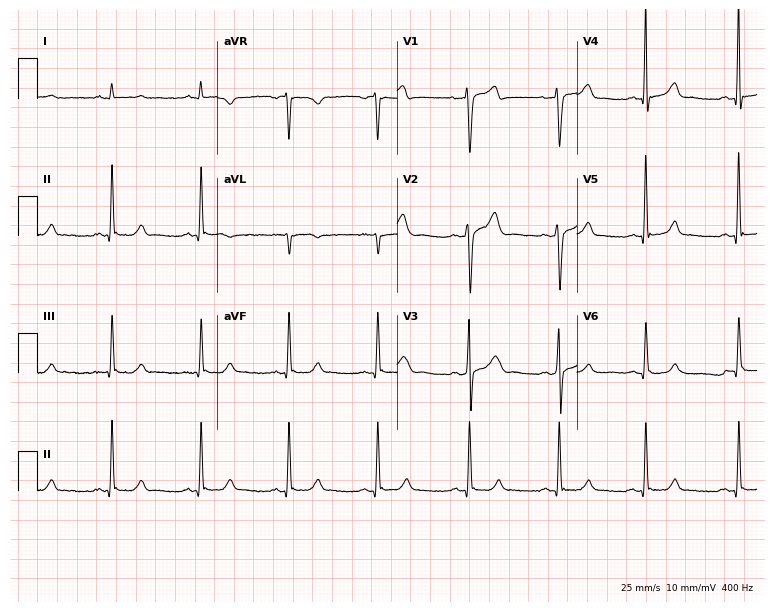
Electrocardiogram (7.3-second recording at 400 Hz), a female patient, 45 years old. Overall reading on record: normal ECG.